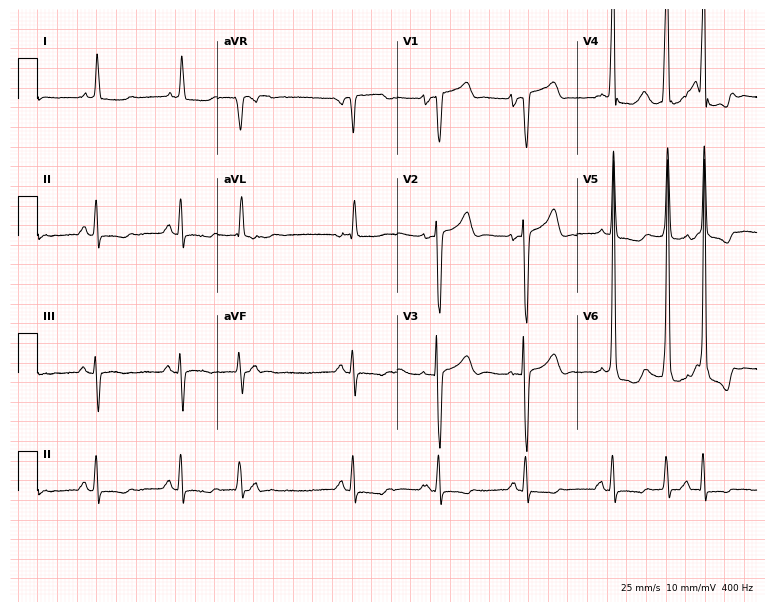
ECG — a 66-year-old male patient. Screened for six findings — first-degree AV block, right bundle branch block, left bundle branch block, sinus bradycardia, atrial fibrillation, sinus tachycardia — none is recorded.